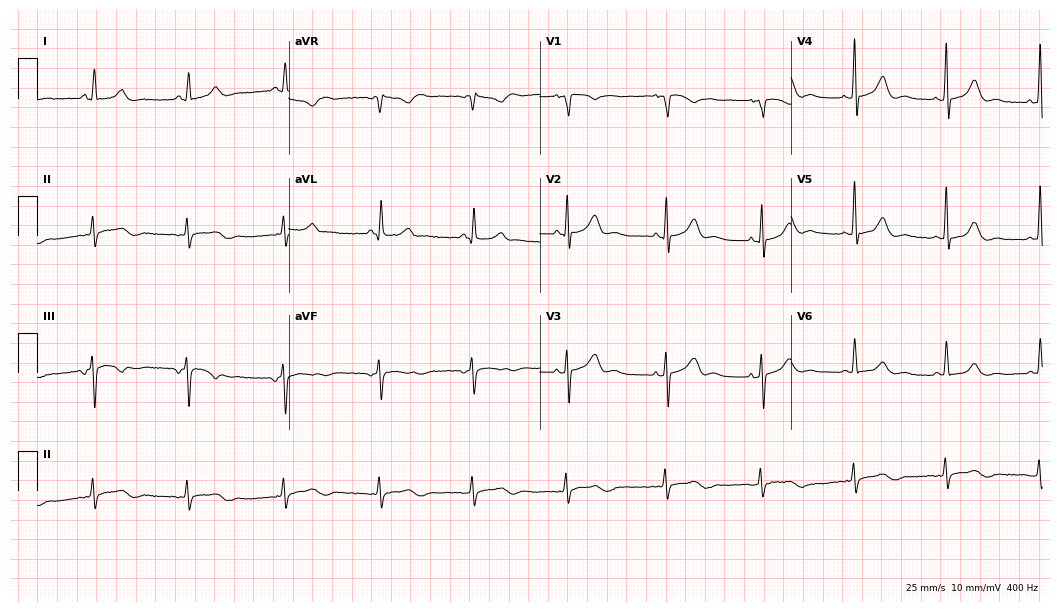
12-lead ECG from a woman, 50 years old (10.2-second recording at 400 Hz). Recorded interpretation: within normal limits.